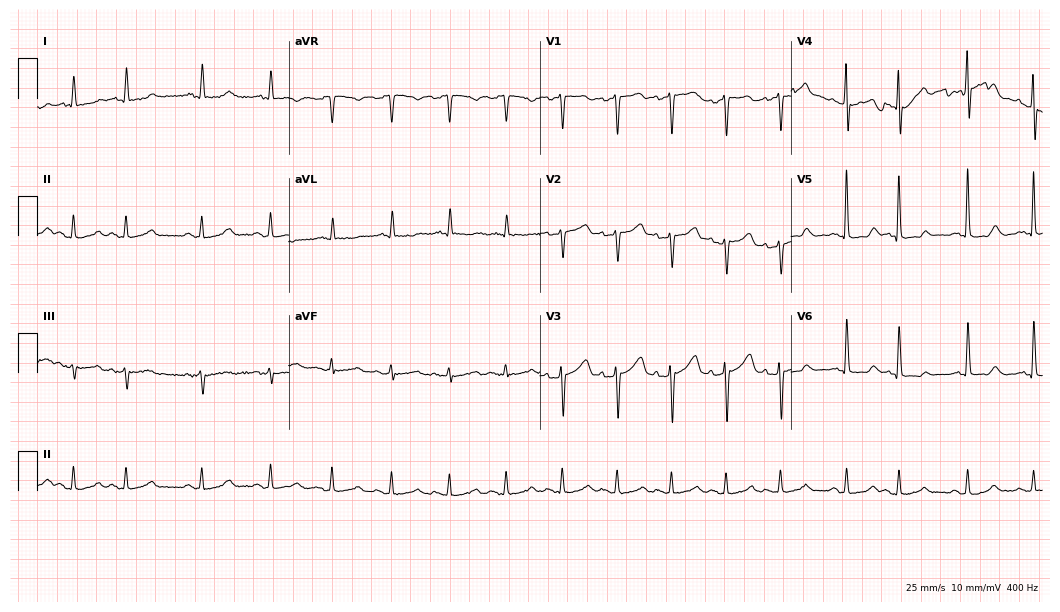
Electrocardiogram (10.2-second recording at 400 Hz), a female, 80 years old. Interpretation includes sinus tachycardia (a sinus rate of 100 beats per minute or more).